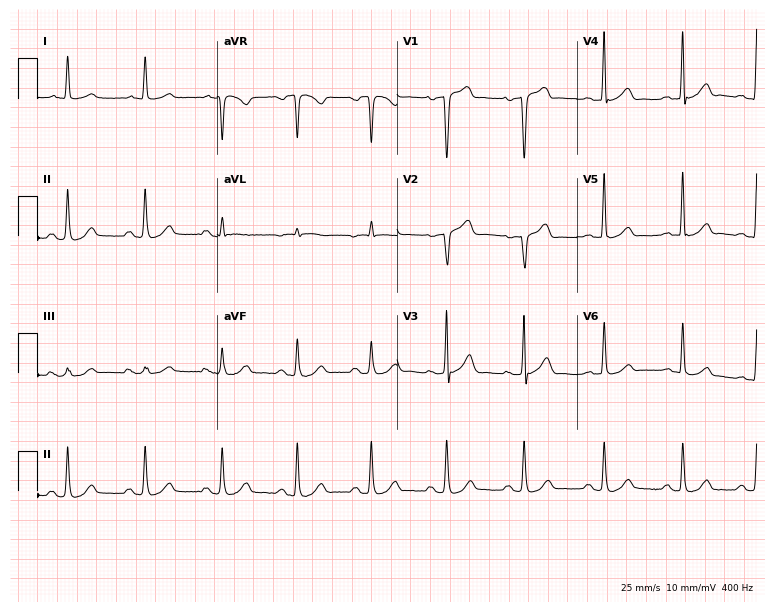
12-lead ECG from a woman, 79 years old. No first-degree AV block, right bundle branch block (RBBB), left bundle branch block (LBBB), sinus bradycardia, atrial fibrillation (AF) or sinus tachycardia recorded for this tracing. Only these six findings were labelled.